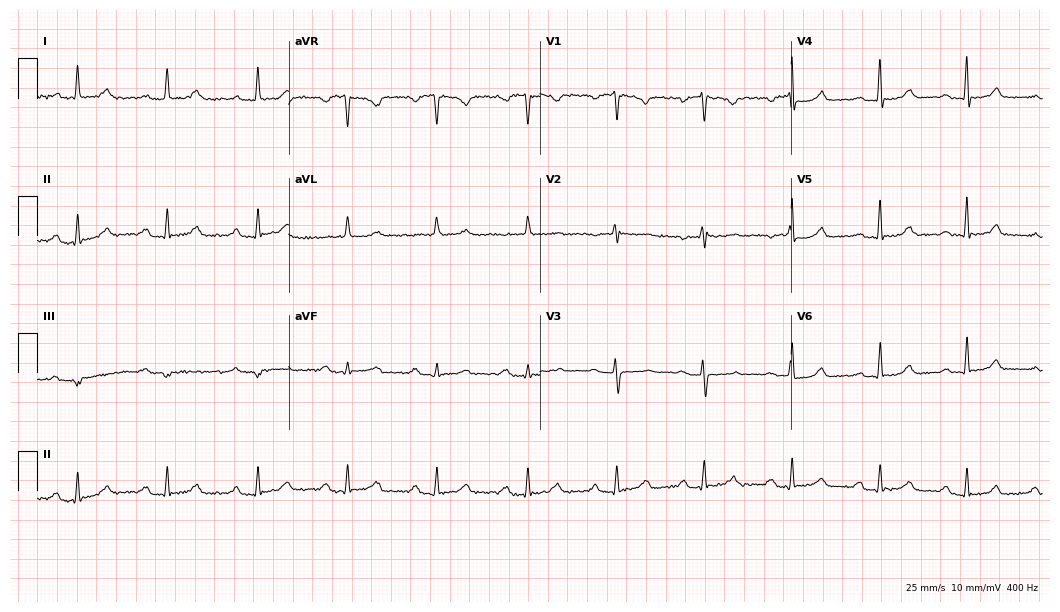
Electrocardiogram (10.2-second recording at 400 Hz), a female patient, 55 years old. Interpretation includes first-degree AV block.